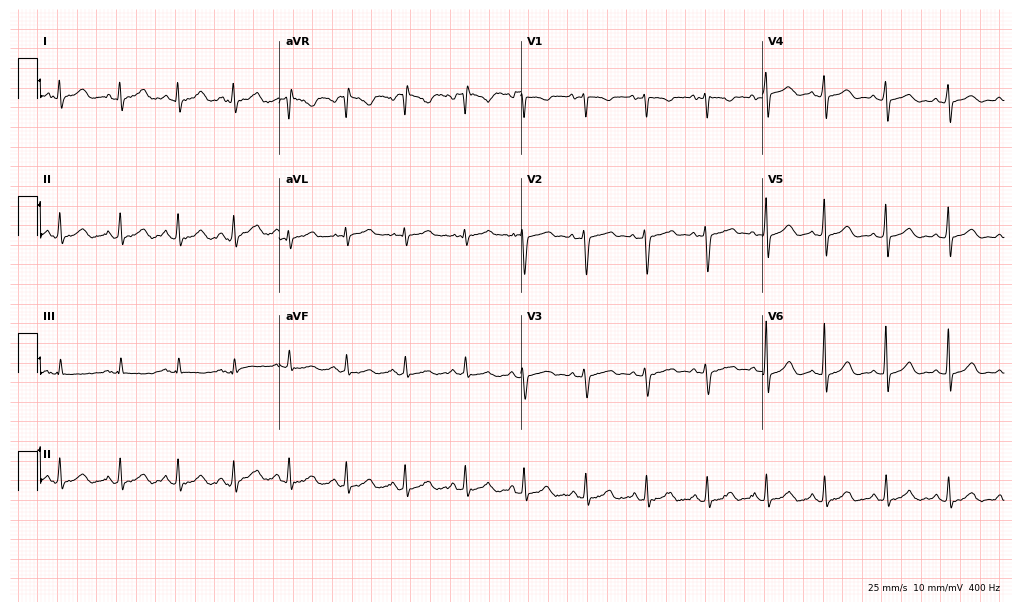
12-lead ECG from a female patient, 29 years old (9.9-second recording at 400 Hz). Recorded interpretation: within normal limits.